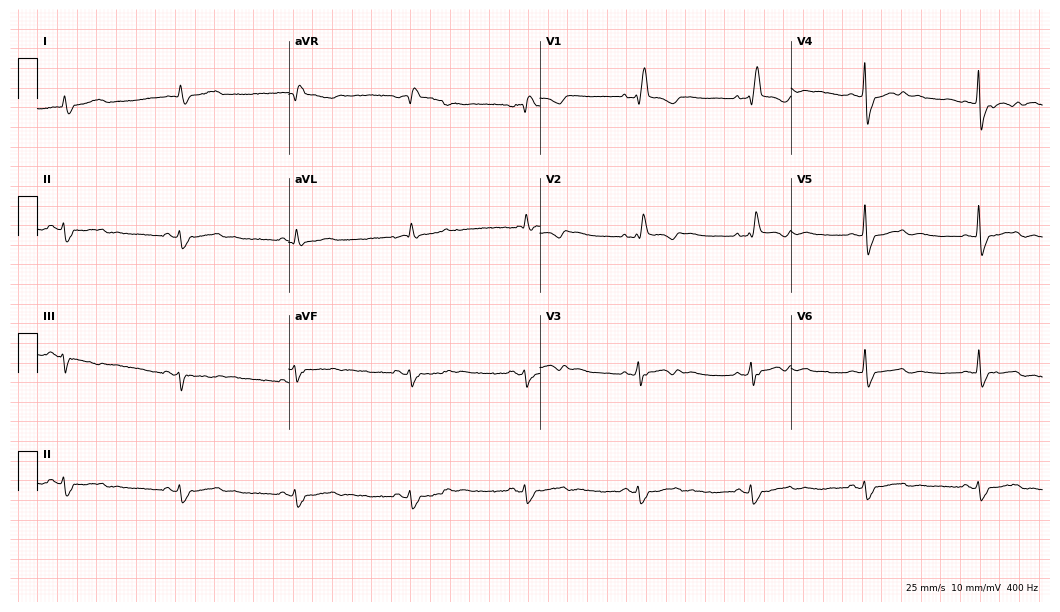
12-lead ECG from an 85-year-old man. Shows right bundle branch block (RBBB).